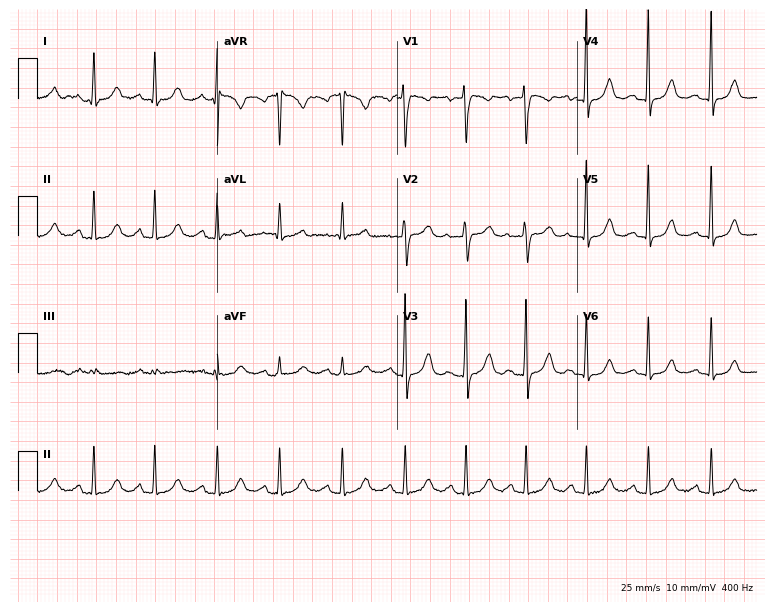
Electrocardiogram (7.3-second recording at 400 Hz), a female patient, 41 years old. Overall reading on record: normal ECG.